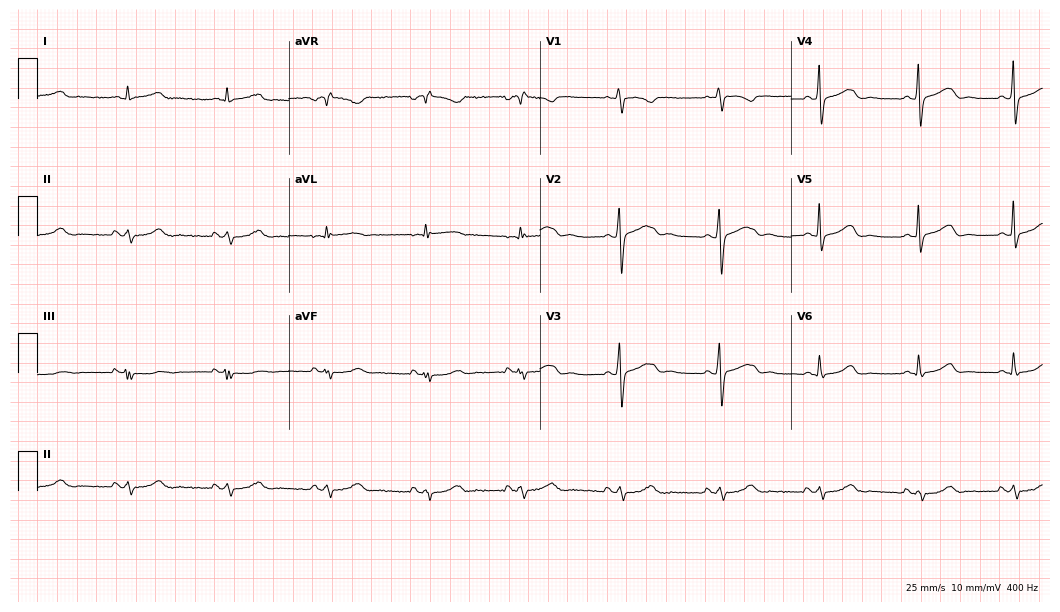
Standard 12-lead ECG recorded from a 40-year-old woman (10.2-second recording at 400 Hz). None of these six findings is recorded: first-degree AV block, right bundle branch block (RBBB), left bundle branch block (LBBB), sinus bradycardia, atrial fibrillation (AF), sinus tachycardia.